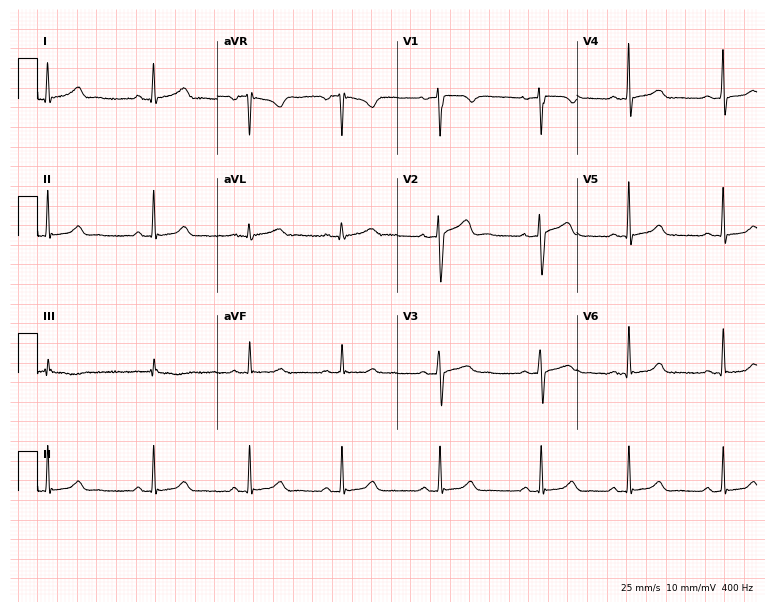
Standard 12-lead ECG recorded from a 23-year-old female patient. Read as a normal ECG.